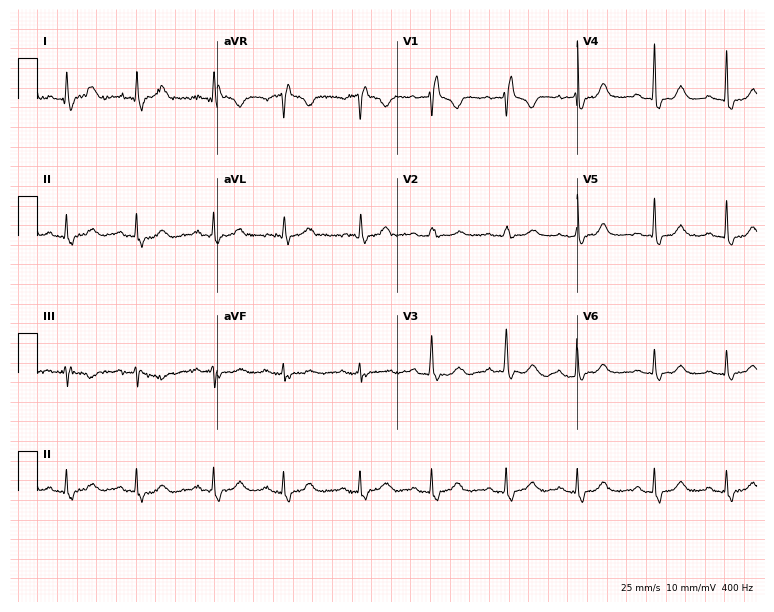
12-lead ECG from a woman, 72 years old. Findings include right bundle branch block.